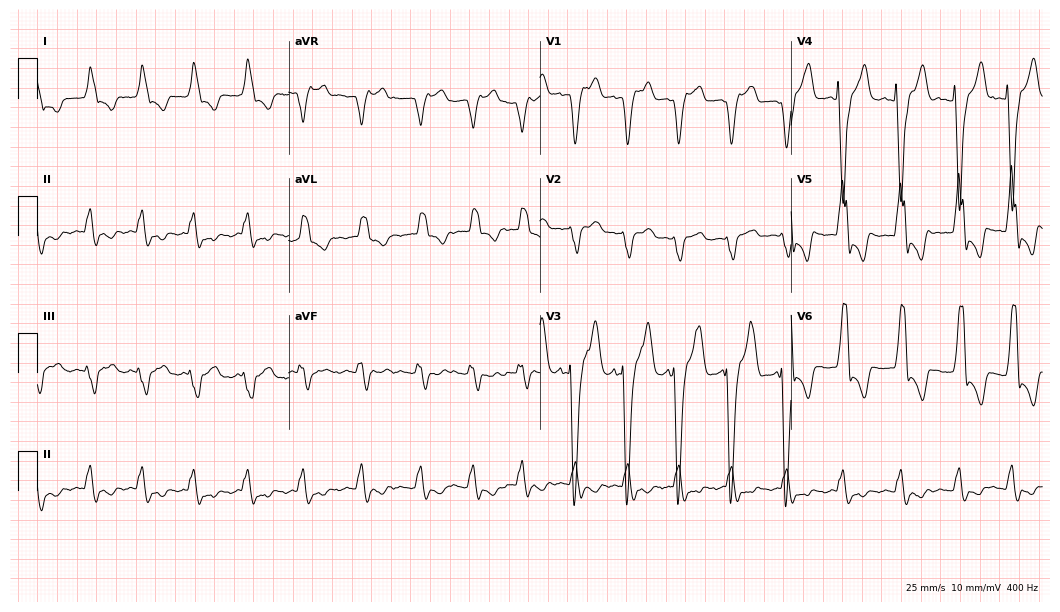
ECG — an 81-year-old woman. Findings include left bundle branch block.